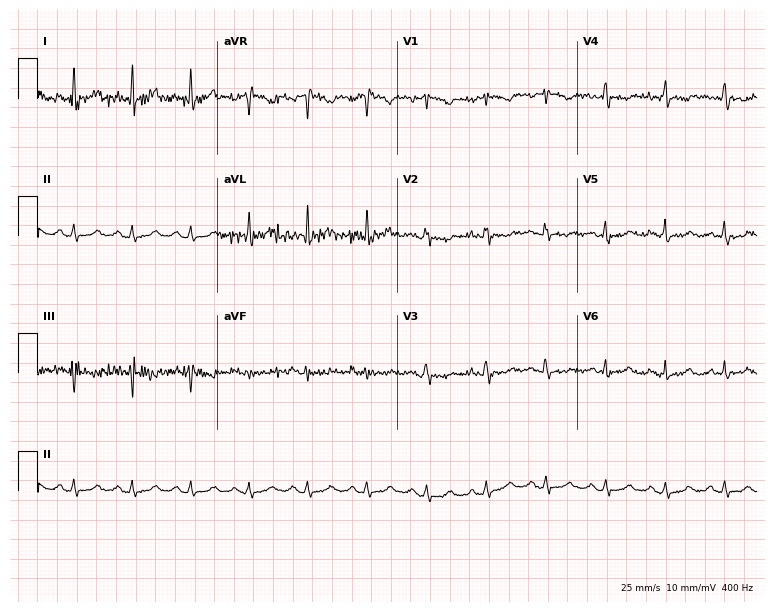
Resting 12-lead electrocardiogram (7.3-second recording at 400 Hz). Patient: a female, 46 years old. None of these six findings is recorded: first-degree AV block, right bundle branch block, left bundle branch block, sinus bradycardia, atrial fibrillation, sinus tachycardia. Findings outside these six are not listed.